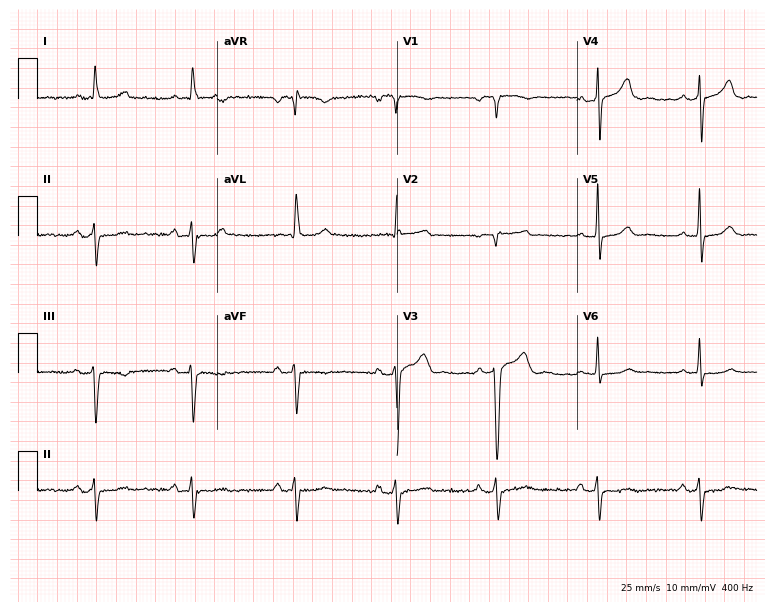
ECG (7.3-second recording at 400 Hz) — a 79-year-old male. Screened for six findings — first-degree AV block, right bundle branch block, left bundle branch block, sinus bradycardia, atrial fibrillation, sinus tachycardia — none is recorded.